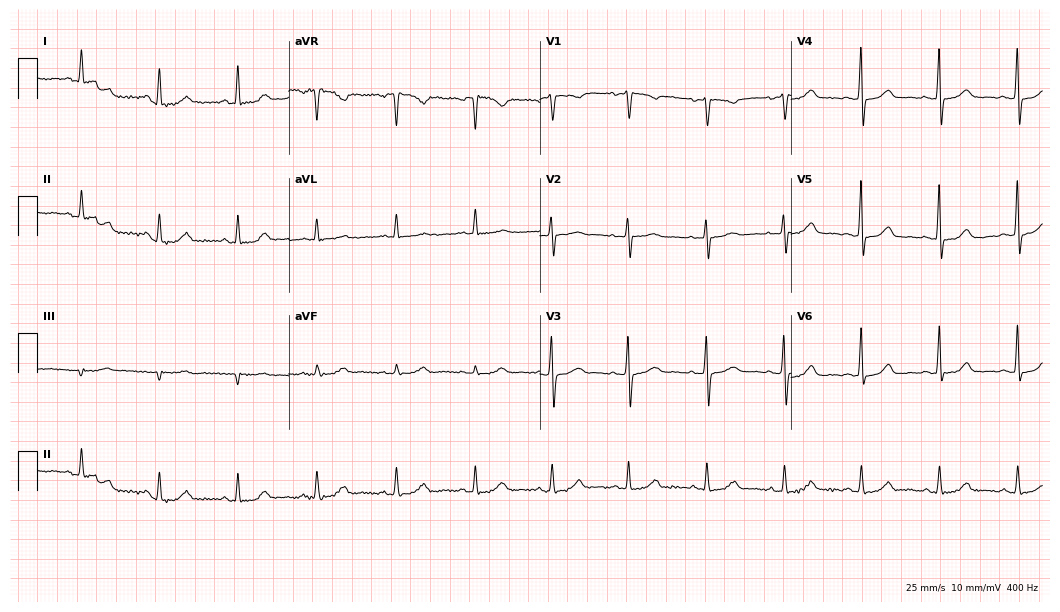
Resting 12-lead electrocardiogram. Patient: a female, 47 years old. Read as a normal ECG.